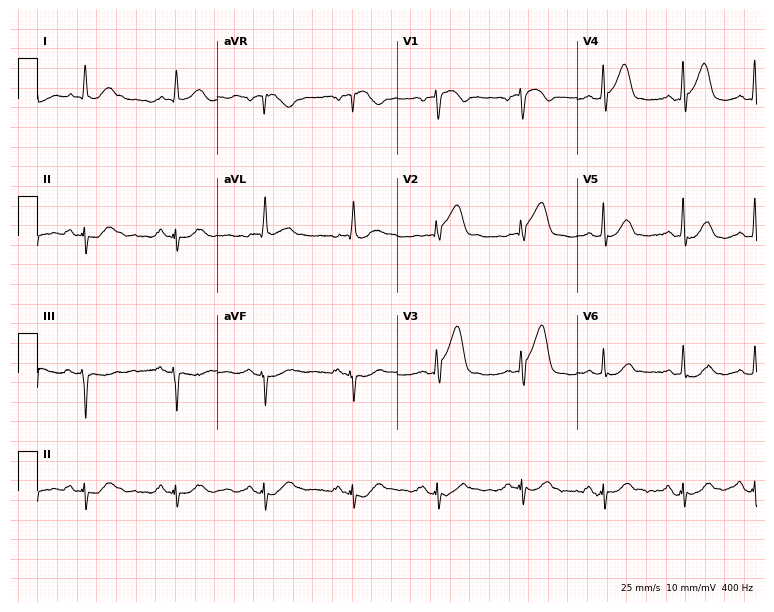
Electrocardiogram (7.3-second recording at 400 Hz), a 64-year-old man. Of the six screened findings (first-degree AV block, right bundle branch block, left bundle branch block, sinus bradycardia, atrial fibrillation, sinus tachycardia), none is recorded. Other findings, if any, are not listed.